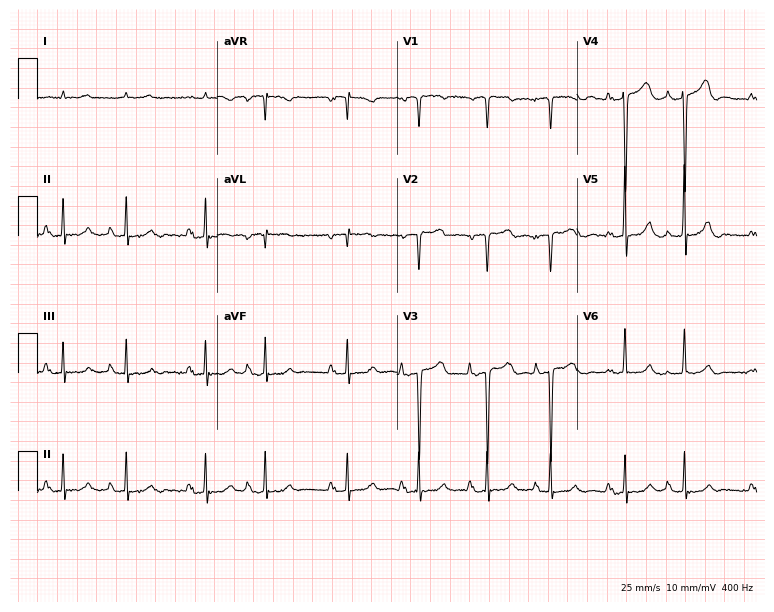
Standard 12-lead ECG recorded from a 78-year-old female (7.3-second recording at 400 Hz). None of these six findings is recorded: first-degree AV block, right bundle branch block (RBBB), left bundle branch block (LBBB), sinus bradycardia, atrial fibrillation (AF), sinus tachycardia.